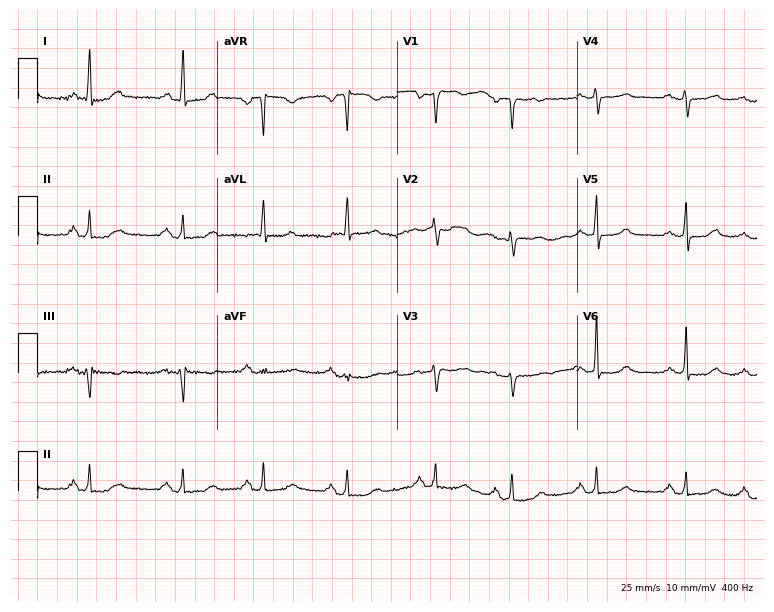
Resting 12-lead electrocardiogram. Patient: a 65-year-old female. Read as a normal ECG.